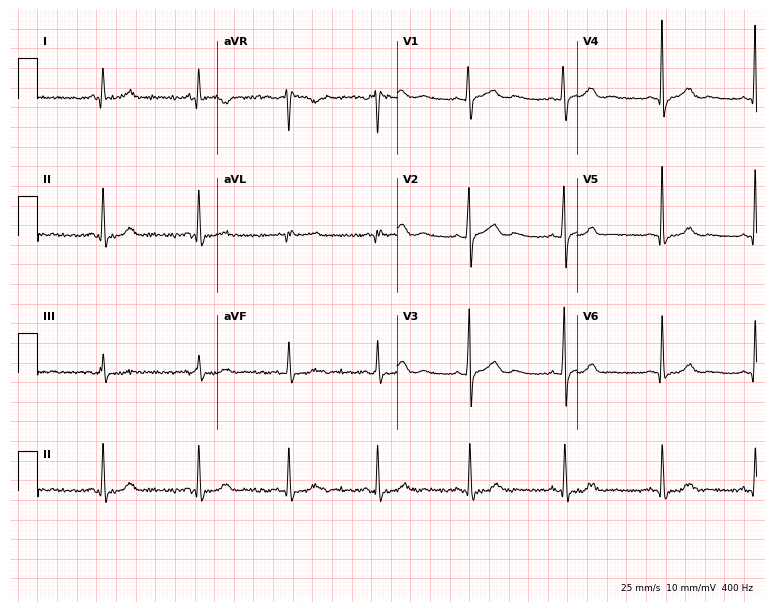
12-lead ECG from a female patient, 33 years old. Screened for six findings — first-degree AV block, right bundle branch block, left bundle branch block, sinus bradycardia, atrial fibrillation, sinus tachycardia — none is recorded. Findings outside these six are not listed.